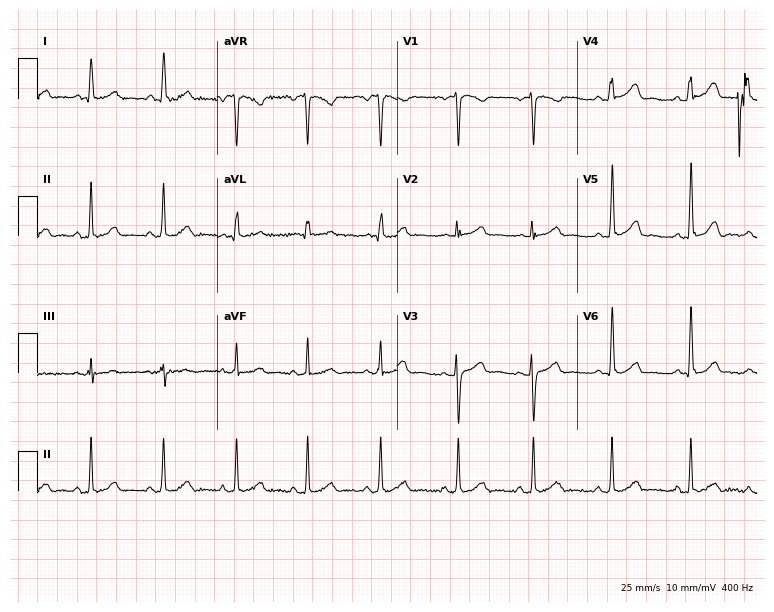
Standard 12-lead ECG recorded from a female, 40 years old (7.3-second recording at 400 Hz). Read as a normal ECG.